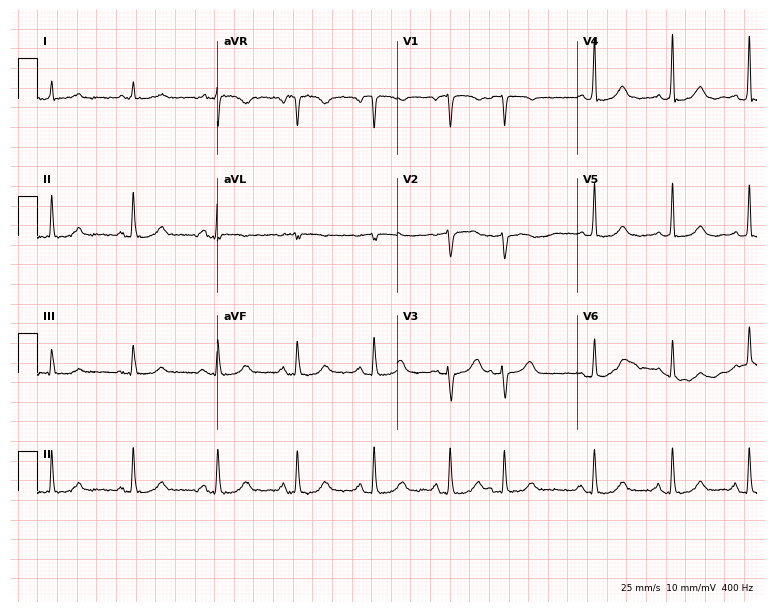
12-lead ECG from a woman, 80 years old. Screened for six findings — first-degree AV block, right bundle branch block, left bundle branch block, sinus bradycardia, atrial fibrillation, sinus tachycardia — none is recorded. Only these six findings were labelled.